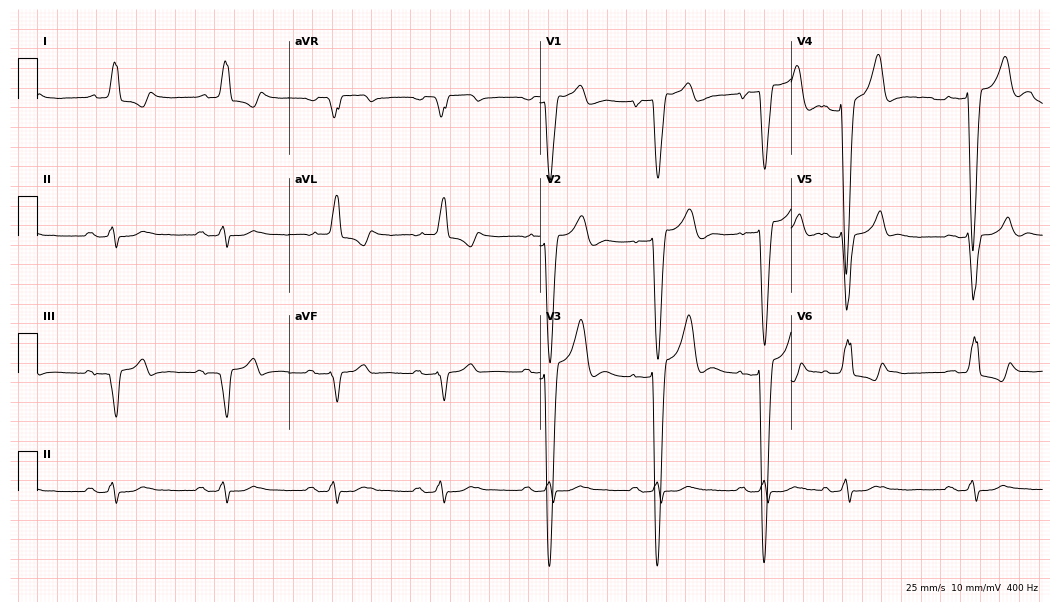
12-lead ECG from an 83-year-old man (10.2-second recording at 400 Hz). Shows first-degree AV block, left bundle branch block.